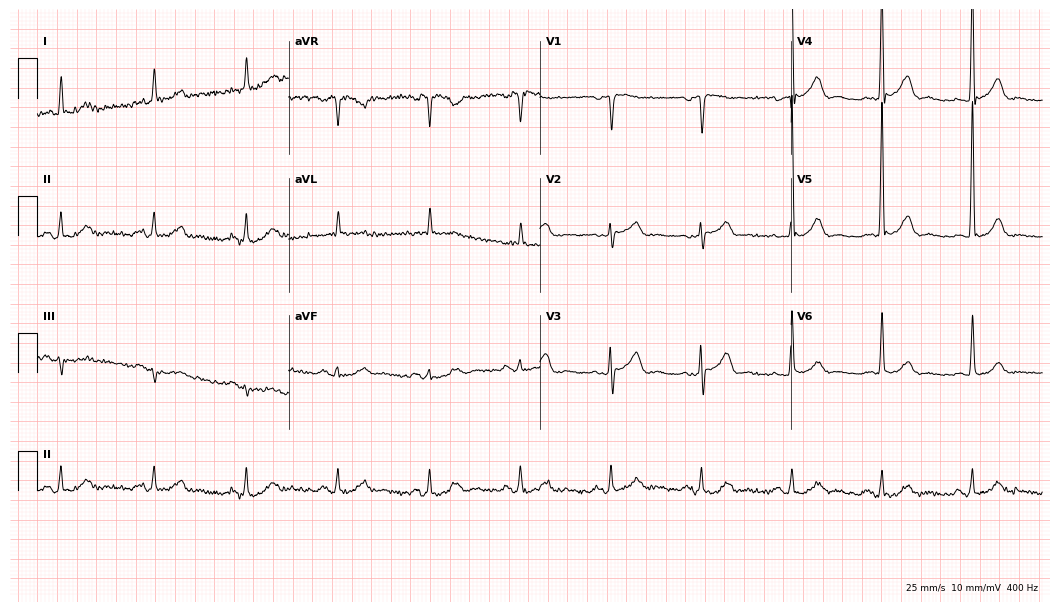
Standard 12-lead ECG recorded from a male patient, 72 years old (10.2-second recording at 400 Hz). Read as a normal ECG.